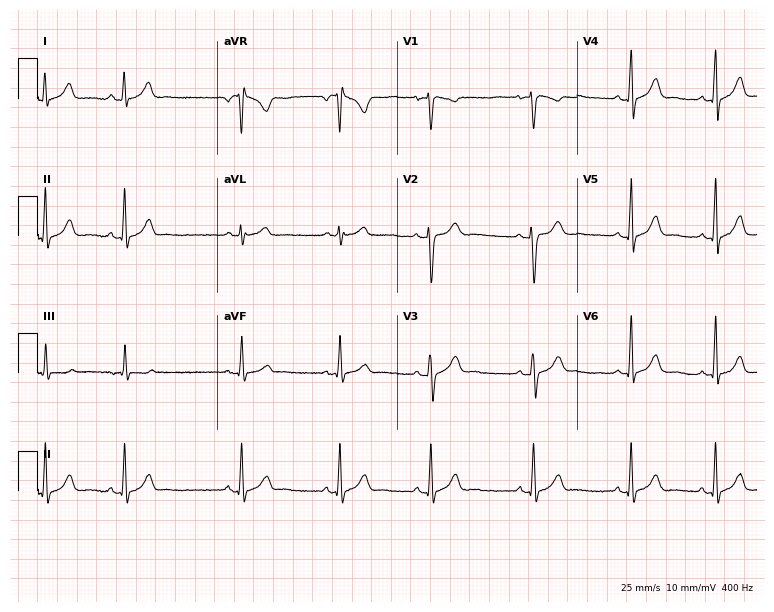
ECG — a 24-year-old female. Labelled as a normal ECG.